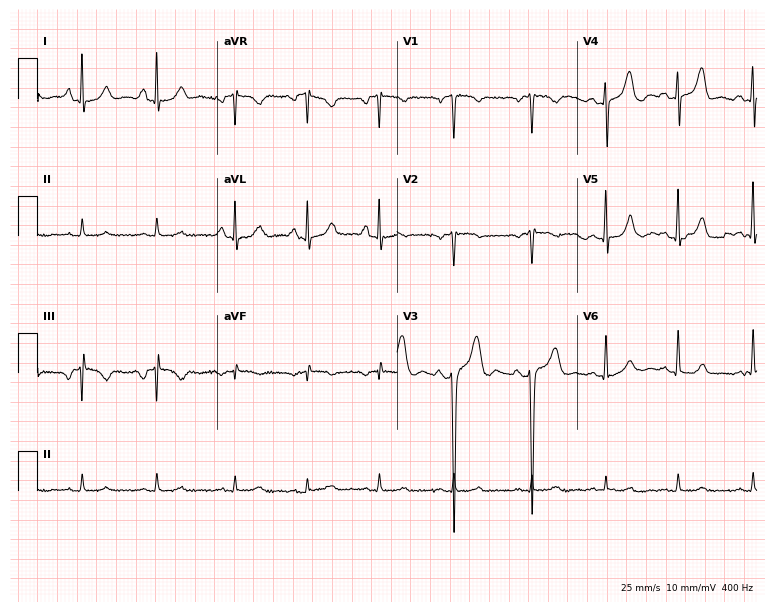
12-lead ECG from a 50-year-old female patient. No first-degree AV block, right bundle branch block, left bundle branch block, sinus bradycardia, atrial fibrillation or sinus tachycardia recorded for this tracing.